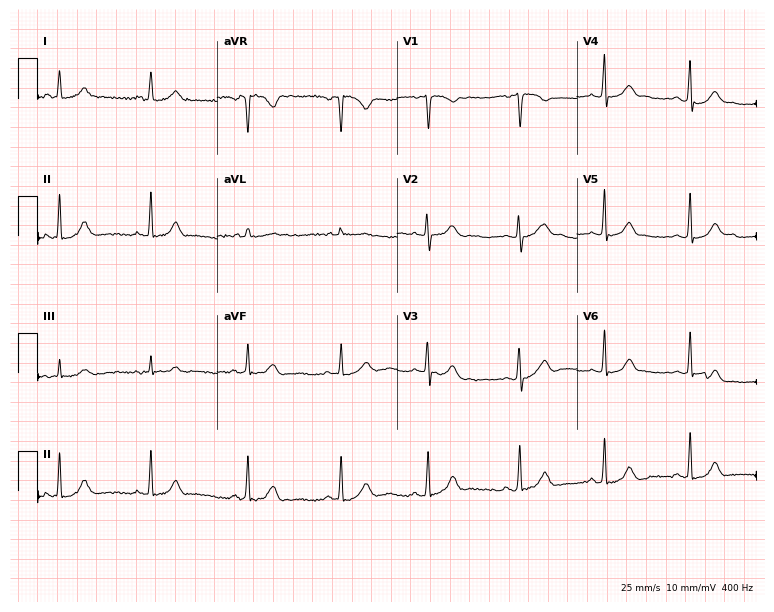
Electrocardiogram (7.3-second recording at 400 Hz), a woman, 24 years old. Of the six screened findings (first-degree AV block, right bundle branch block (RBBB), left bundle branch block (LBBB), sinus bradycardia, atrial fibrillation (AF), sinus tachycardia), none is recorded. Findings outside these six are not listed.